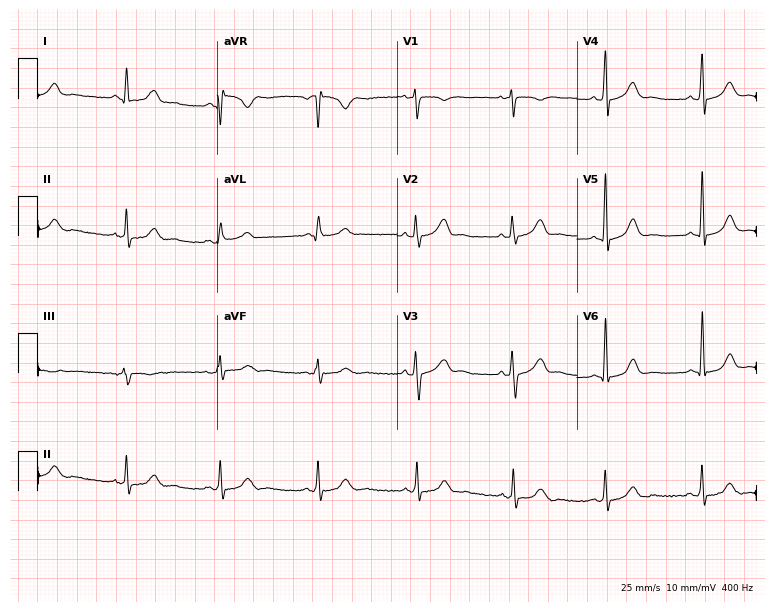
Electrocardiogram, a 26-year-old woman. Of the six screened findings (first-degree AV block, right bundle branch block, left bundle branch block, sinus bradycardia, atrial fibrillation, sinus tachycardia), none is recorded. Findings outside these six are not listed.